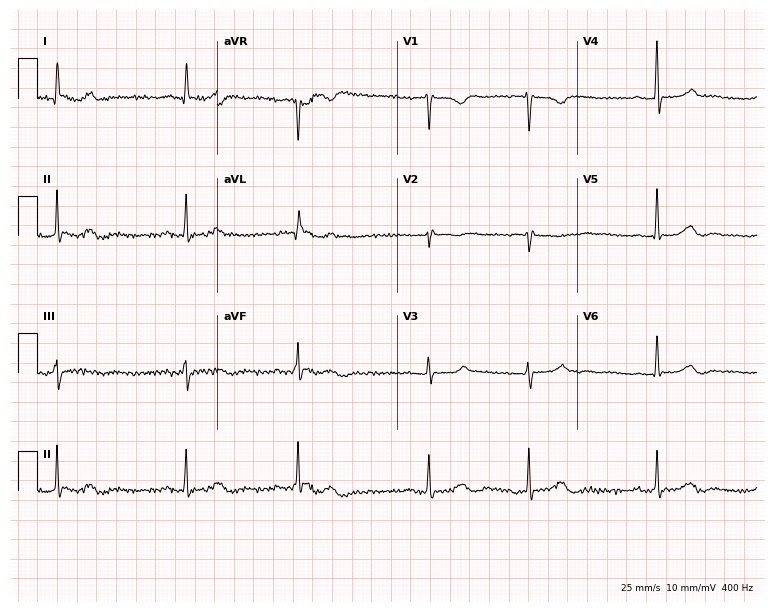
12-lead ECG from a 66-year-old female patient. No first-degree AV block, right bundle branch block, left bundle branch block, sinus bradycardia, atrial fibrillation or sinus tachycardia recorded for this tracing. Only these six findings were labelled.